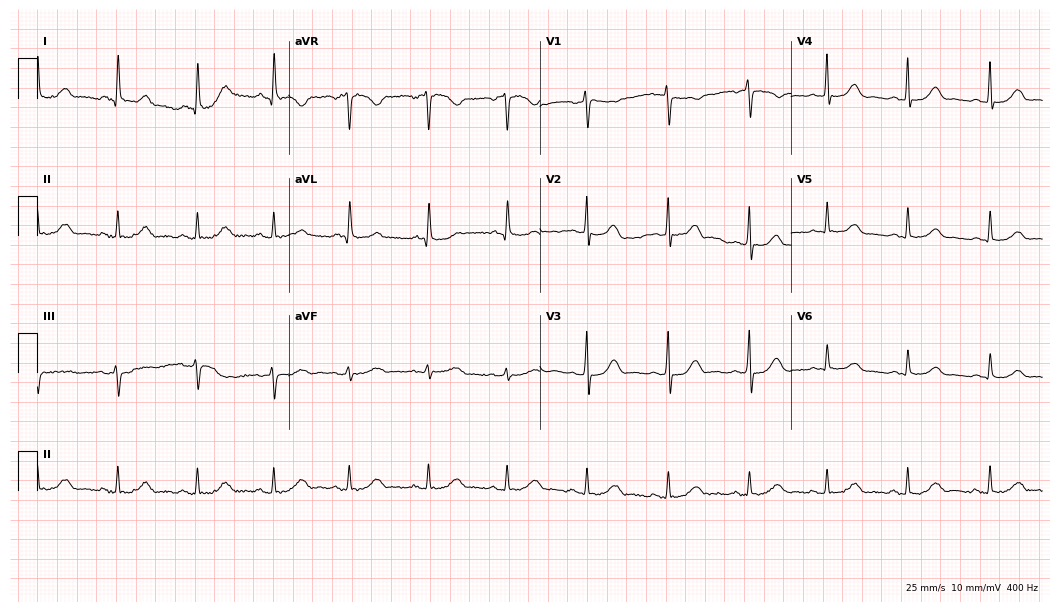
ECG — a woman, 50 years old. Labelled as a normal ECG.